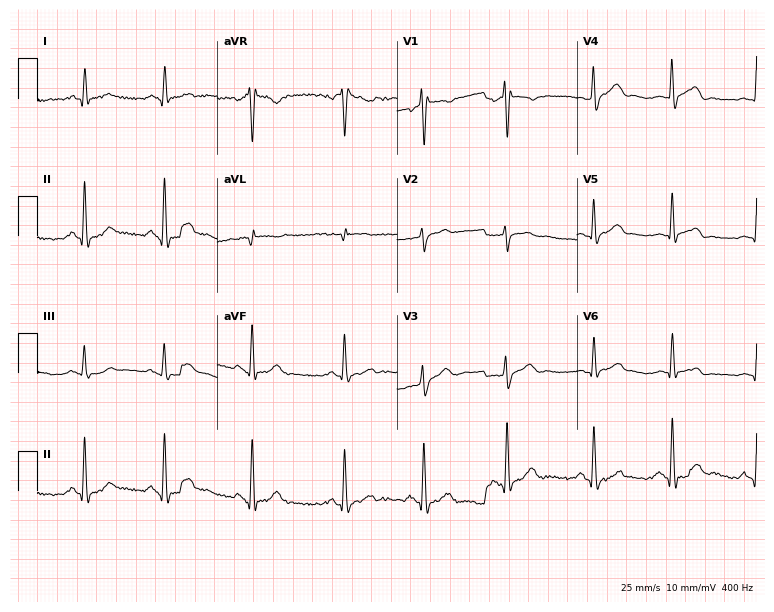
Standard 12-lead ECG recorded from a 42-year-old male (7.3-second recording at 400 Hz). None of these six findings is recorded: first-degree AV block, right bundle branch block, left bundle branch block, sinus bradycardia, atrial fibrillation, sinus tachycardia. Other findings, if any, are not listed.